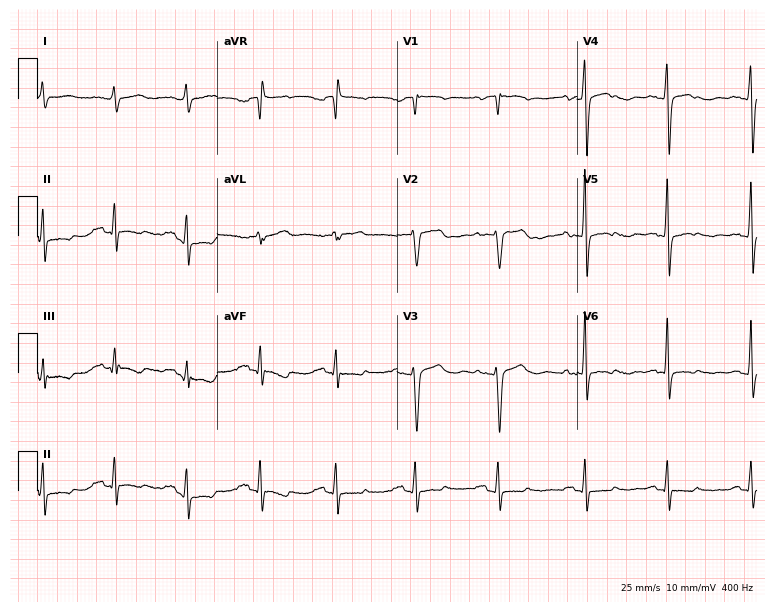
Standard 12-lead ECG recorded from a 40-year-old woman. None of these six findings is recorded: first-degree AV block, right bundle branch block, left bundle branch block, sinus bradycardia, atrial fibrillation, sinus tachycardia.